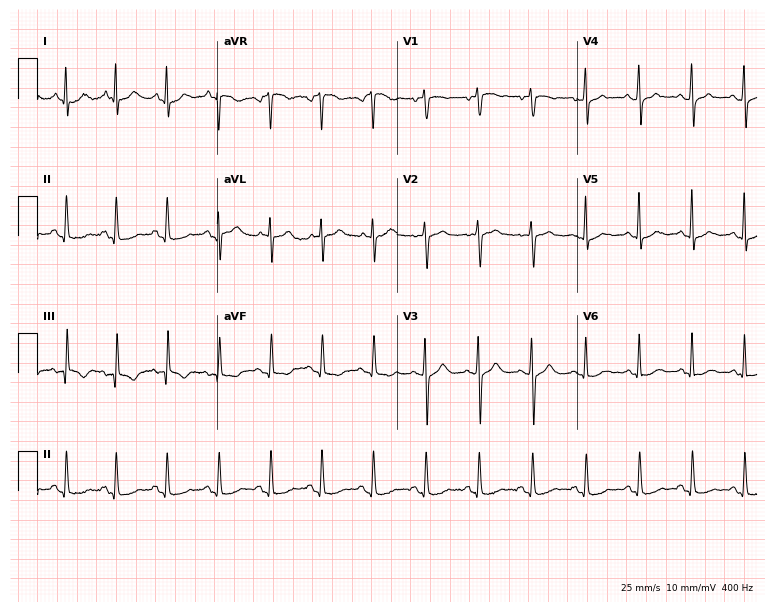
Electrocardiogram, a woman, 43 years old. Interpretation includes sinus tachycardia (a sinus rate of 100 beats per minute or more).